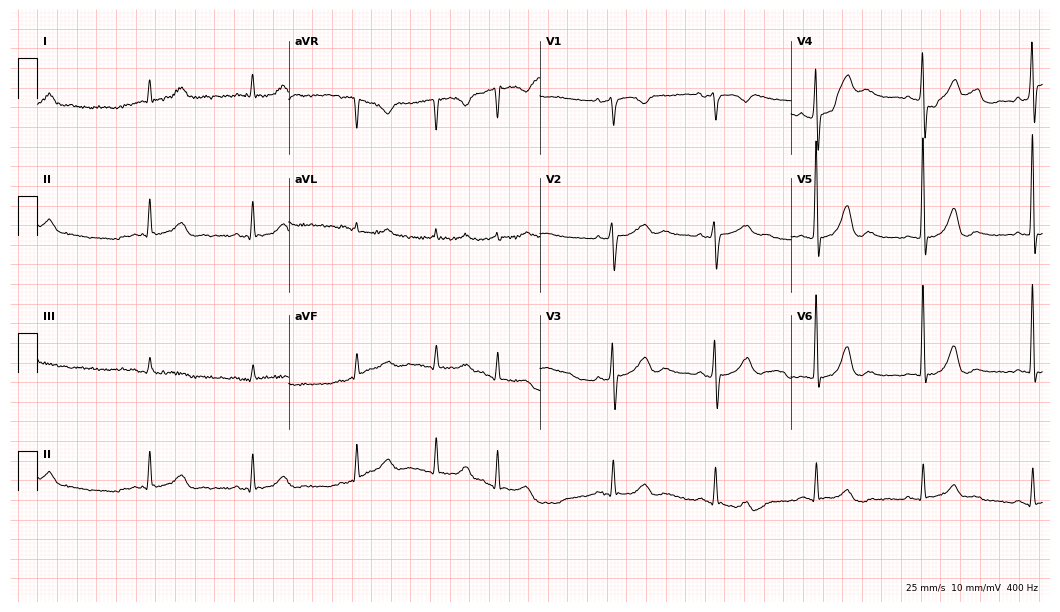
12-lead ECG from an 81-year-old man (10.2-second recording at 400 Hz). No first-degree AV block, right bundle branch block (RBBB), left bundle branch block (LBBB), sinus bradycardia, atrial fibrillation (AF) or sinus tachycardia recorded for this tracing. Findings outside these six are not listed.